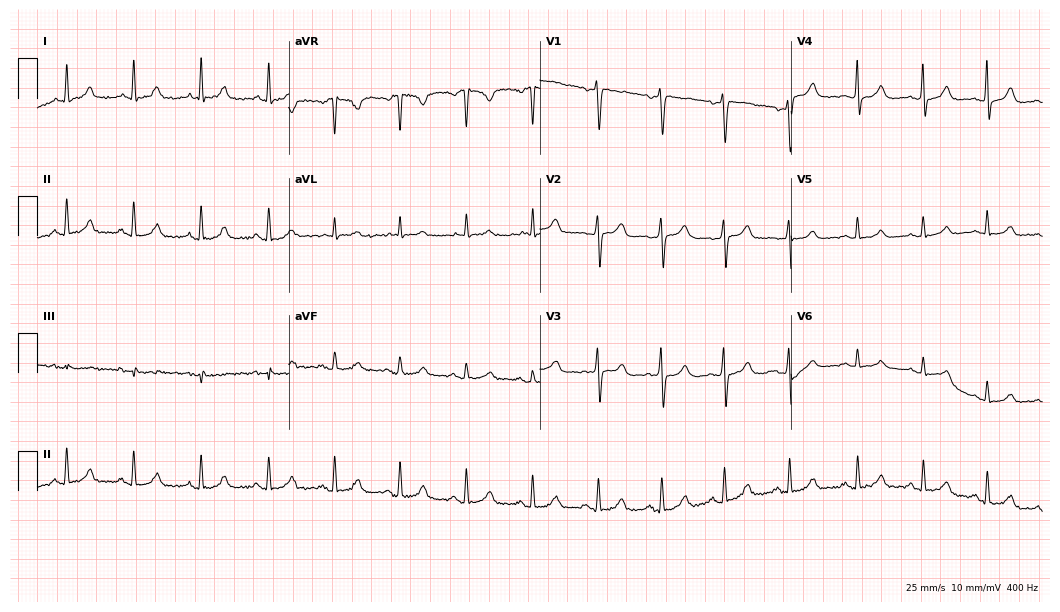
Standard 12-lead ECG recorded from a 44-year-old female (10.2-second recording at 400 Hz). Read as a normal ECG.